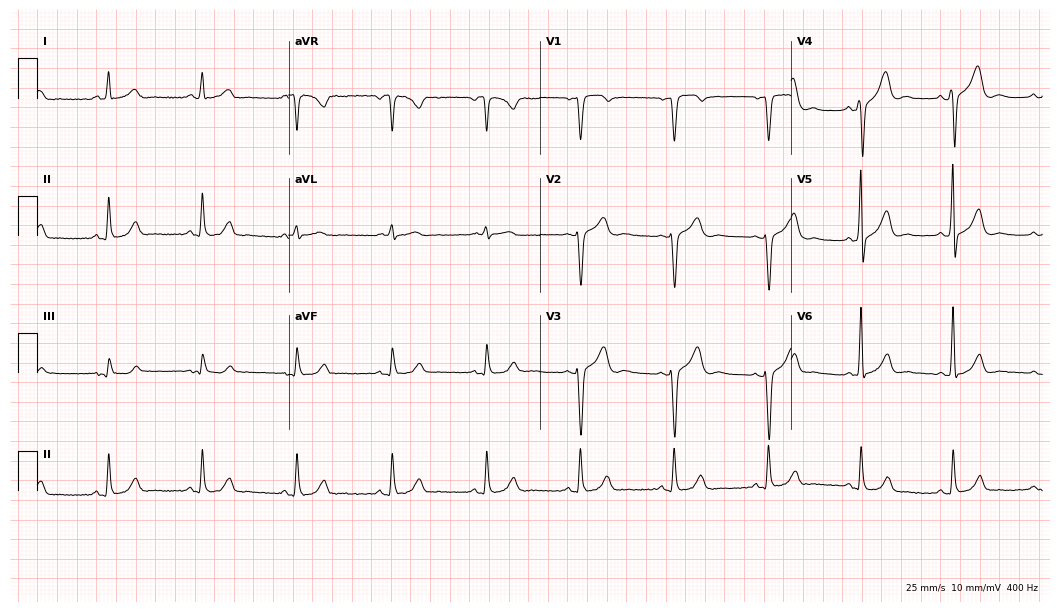
Standard 12-lead ECG recorded from a male patient, 51 years old (10.2-second recording at 400 Hz). Read as a normal ECG.